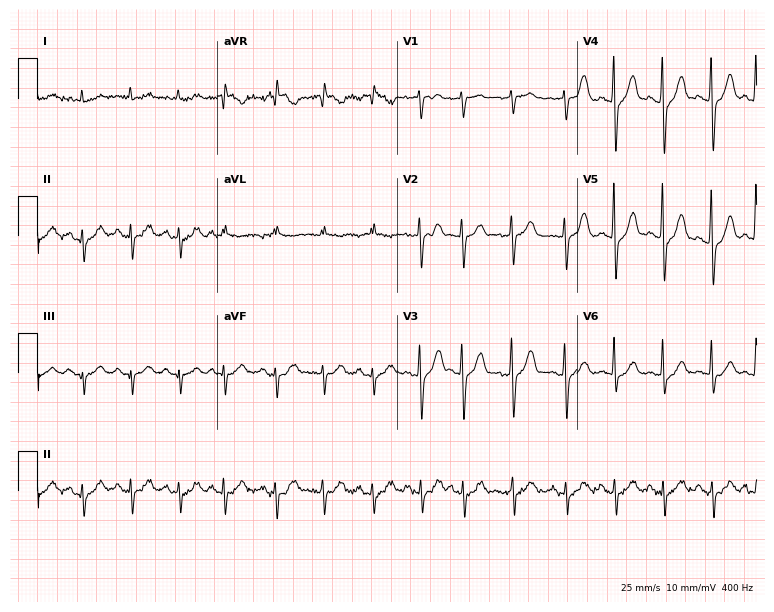
Standard 12-lead ECG recorded from a 79-year-old man (7.3-second recording at 400 Hz). The tracing shows sinus tachycardia (a sinus rate of 100 beats per minute or more).